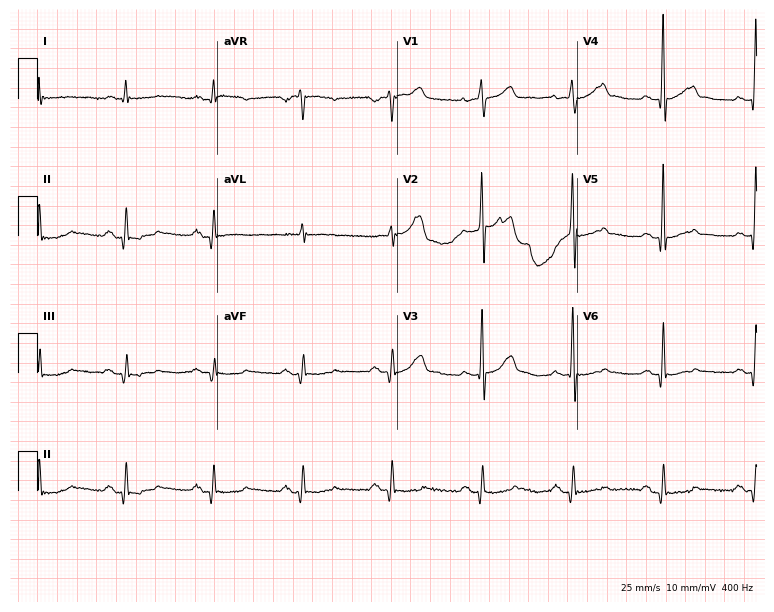
Standard 12-lead ECG recorded from a 73-year-old male (7.3-second recording at 400 Hz). None of these six findings is recorded: first-degree AV block, right bundle branch block, left bundle branch block, sinus bradycardia, atrial fibrillation, sinus tachycardia. Other findings, if any, are not listed.